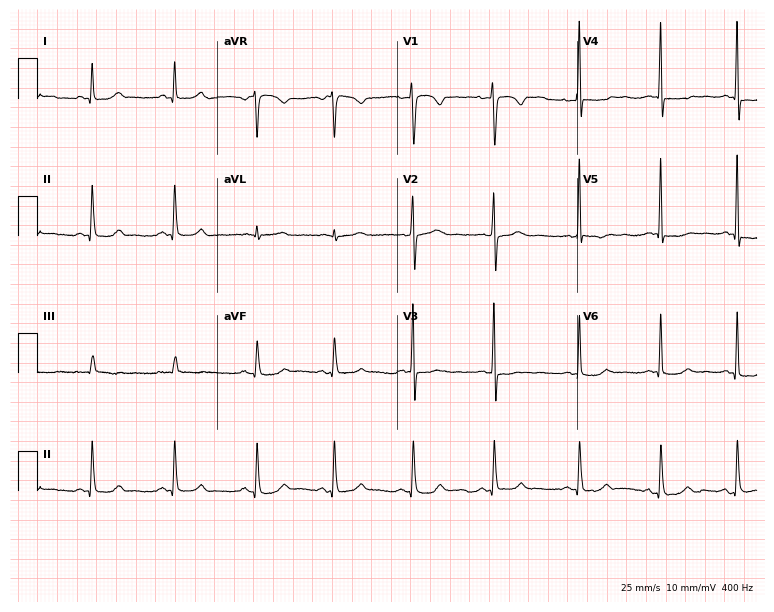
Standard 12-lead ECG recorded from a female patient, 39 years old. None of these six findings is recorded: first-degree AV block, right bundle branch block (RBBB), left bundle branch block (LBBB), sinus bradycardia, atrial fibrillation (AF), sinus tachycardia.